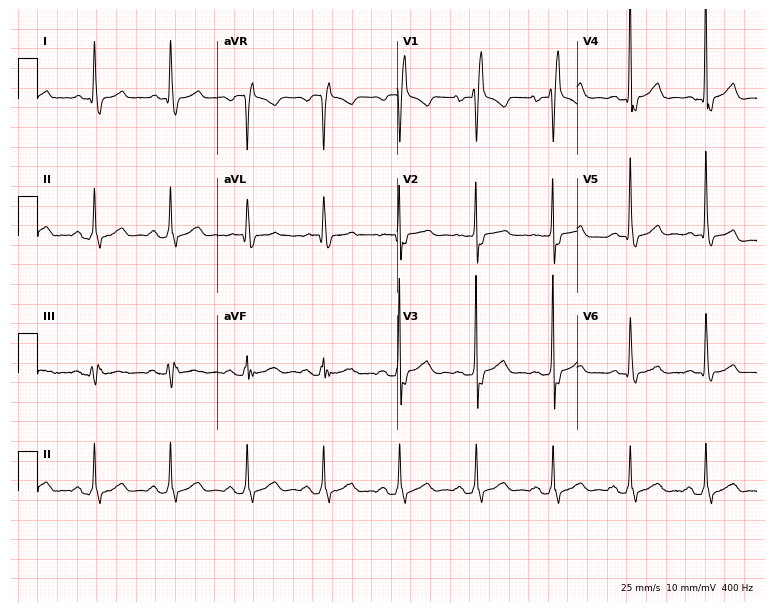
Standard 12-lead ECG recorded from a woman, 84 years old (7.3-second recording at 400 Hz). The tracing shows right bundle branch block (RBBB).